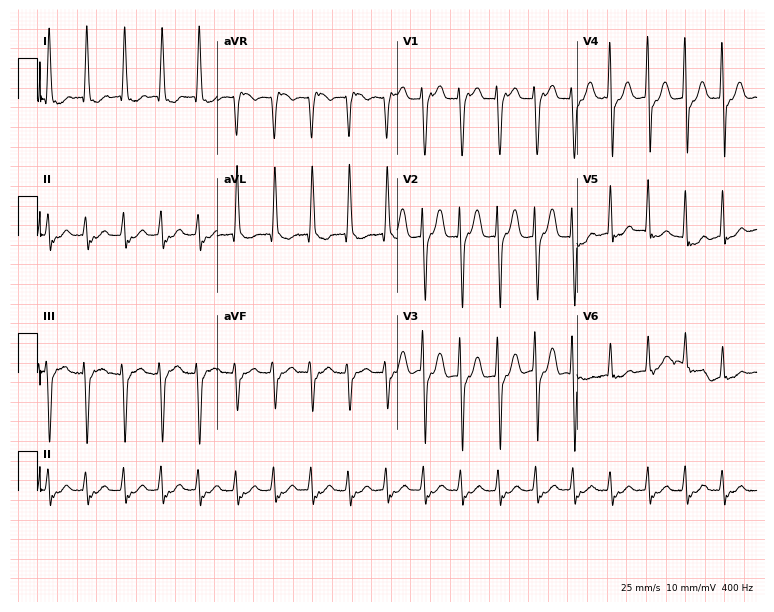
Electrocardiogram, an 82-year-old male. Of the six screened findings (first-degree AV block, right bundle branch block (RBBB), left bundle branch block (LBBB), sinus bradycardia, atrial fibrillation (AF), sinus tachycardia), none is recorded.